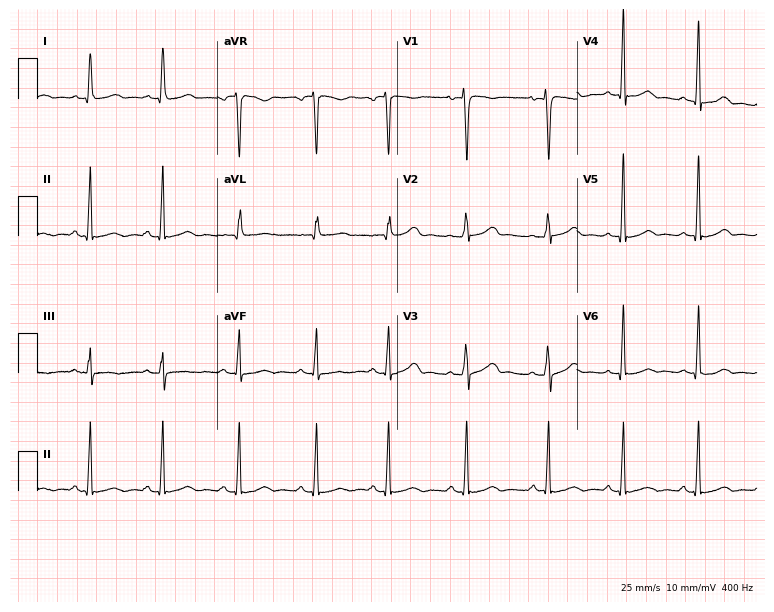
12-lead ECG (7.3-second recording at 400 Hz) from a female patient, 25 years old. Labelled as a normal ECG.